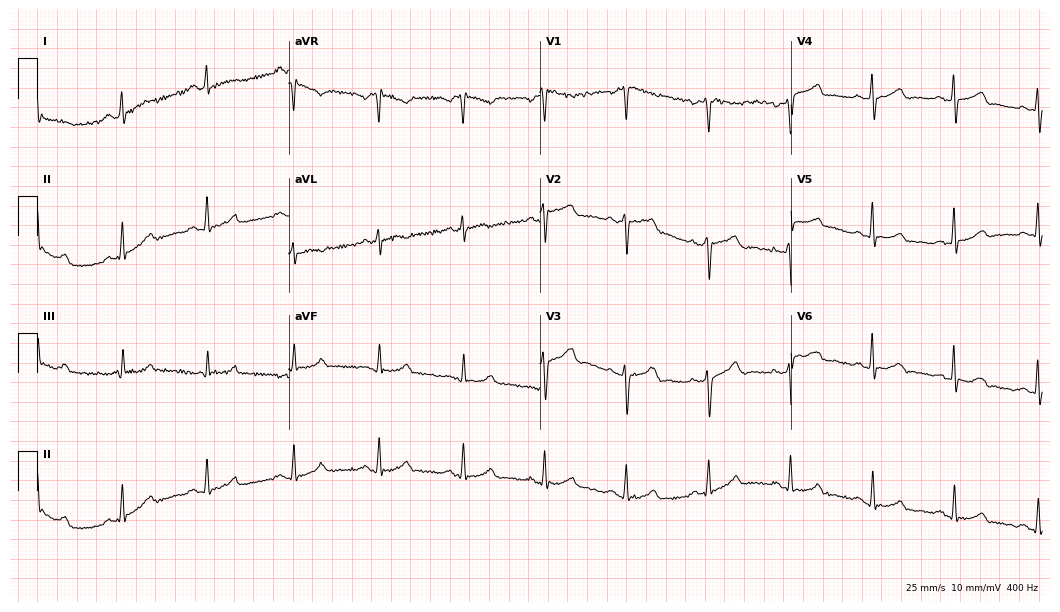
Resting 12-lead electrocardiogram. Patient: a 41-year-old female. None of these six findings is recorded: first-degree AV block, right bundle branch block, left bundle branch block, sinus bradycardia, atrial fibrillation, sinus tachycardia. Findings outside these six are not listed.